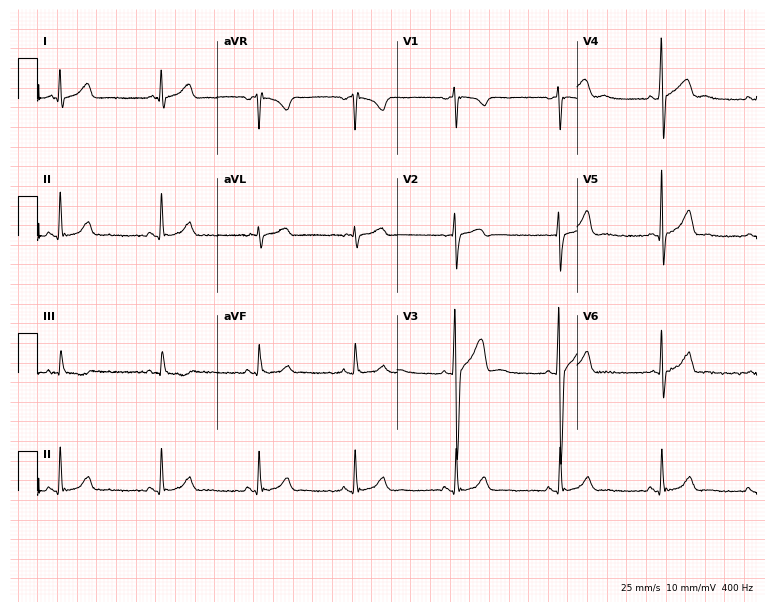
12-lead ECG from a male patient, 22 years old. No first-degree AV block, right bundle branch block, left bundle branch block, sinus bradycardia, atrial fibrillation or sinus tachycardia recorded for this tracing.